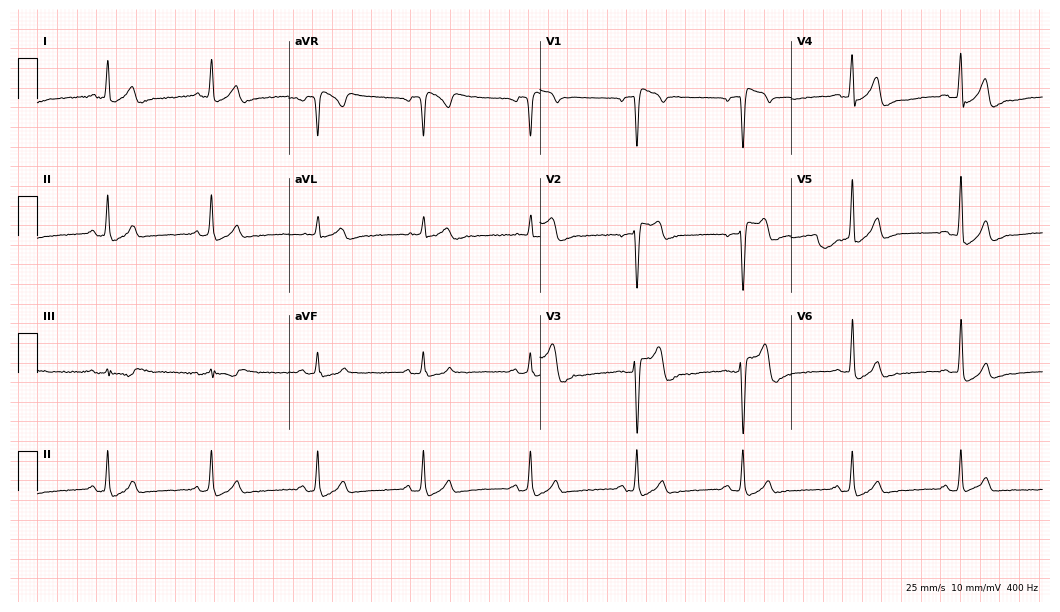
12-lead ECG from a 46-year-old male. Screened for six findings — first-degree AV block, right bundle branch block, left bundle branch block, sinus bradycardia, atrial fibrillation, sinus tachycardia — none is recorded. Findings outside these six are not listed.